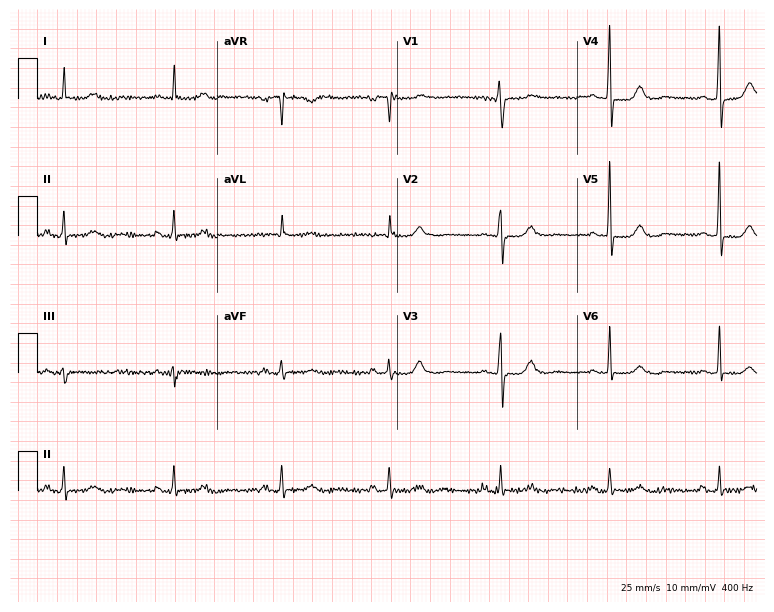
12-lead ECG from a female, 76 years old (7.3-second recording at 400 Hz). Recorded interpretation: within normal limits.